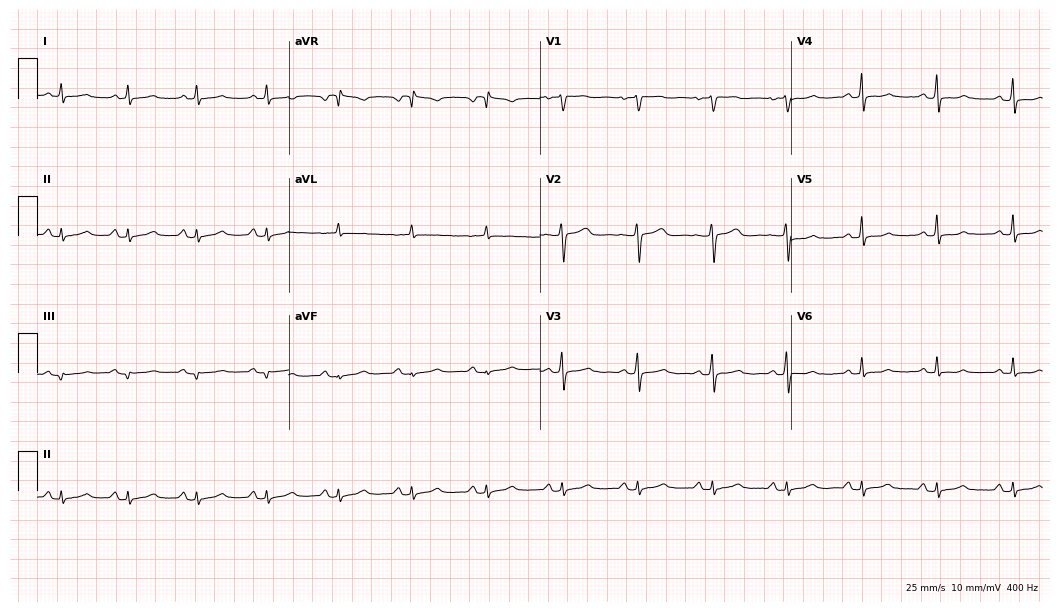
Electrocardiogram (10.2-second recording at 400 Hz), a 50-year-old woman. Of the six screened findings (first-degree AV block, right bundle branch block (RBBB), left bundle branch block (LBBB), sinus bradycardia, atrial fibrillation (AF), sinus tachycardia), none is recorded. Only these six findings were labelled.